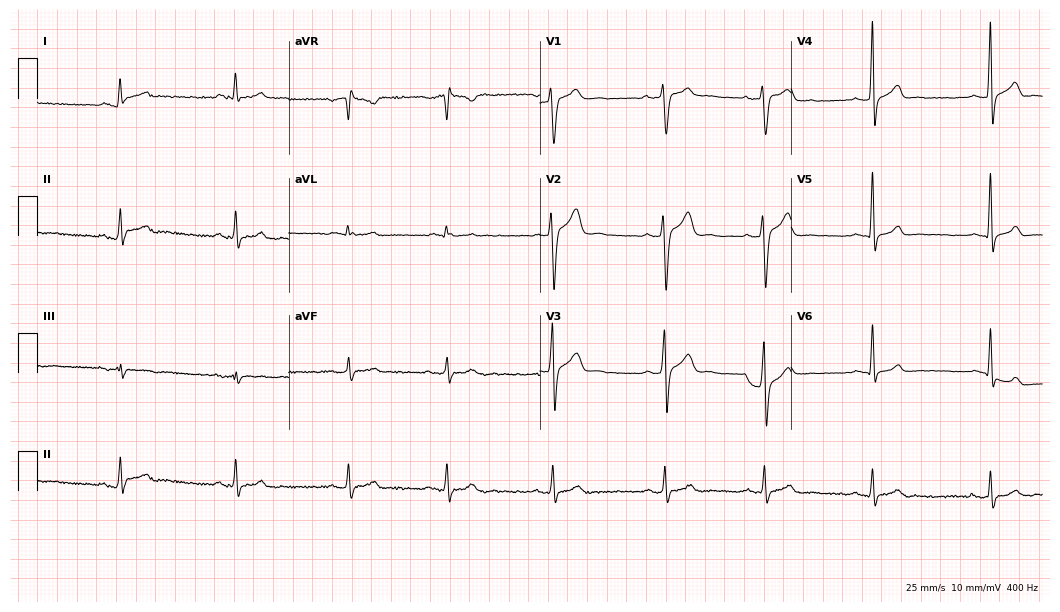
12-lead ECG from a 27-year-old female. Screened for six findings — first-degree AV block, right bundle branch block (RBBB), left bundle branch block (LBBB), sinus bradycardia, atrial fibrillation (AF), sinus tachycardia — none is recorded.